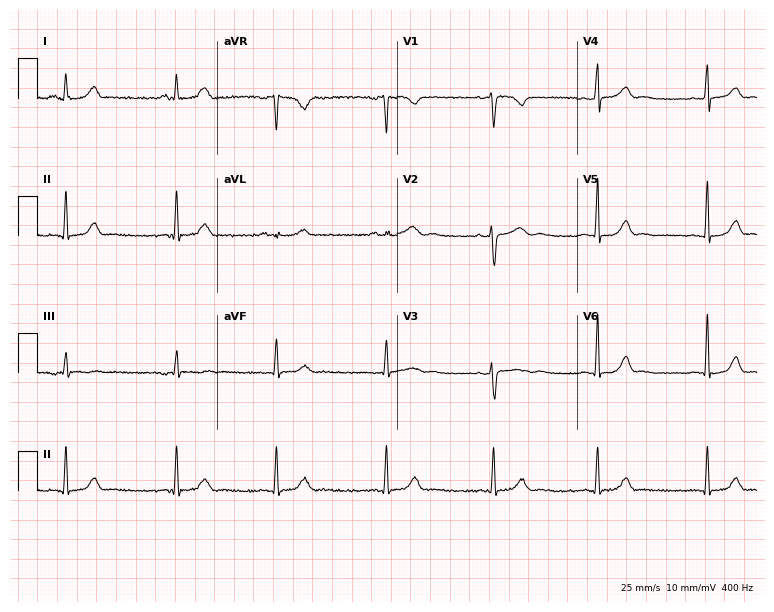
Electrocardiogram, a woman, 33 years old. Overall reading on record: normal ECG.